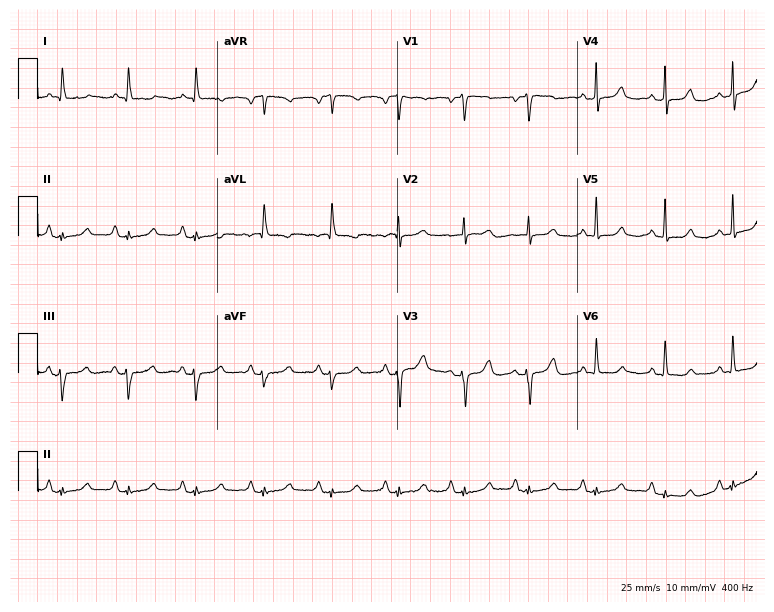
12-lead ECG (7.3-second recording at 400 Hz) from a 77-year-old female. Screened for six findings — first-degree AV block, right bundle branch block, left bundle branch block, sinus bradycardia, atrial fibrillation, sinus tachycardia — none is recorded.